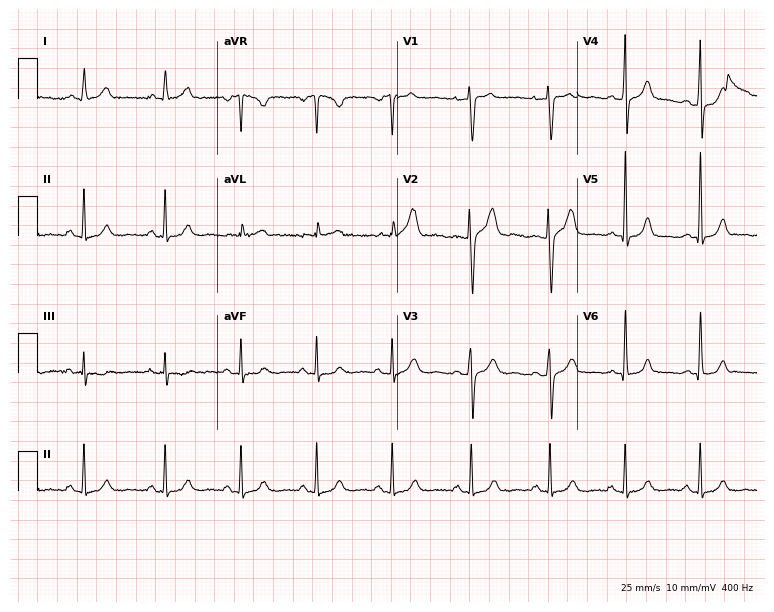
Electrocardiogram (7.3-second recording at 400 Hz), a 37-year-old female. Overall reading on record: normal ECG.